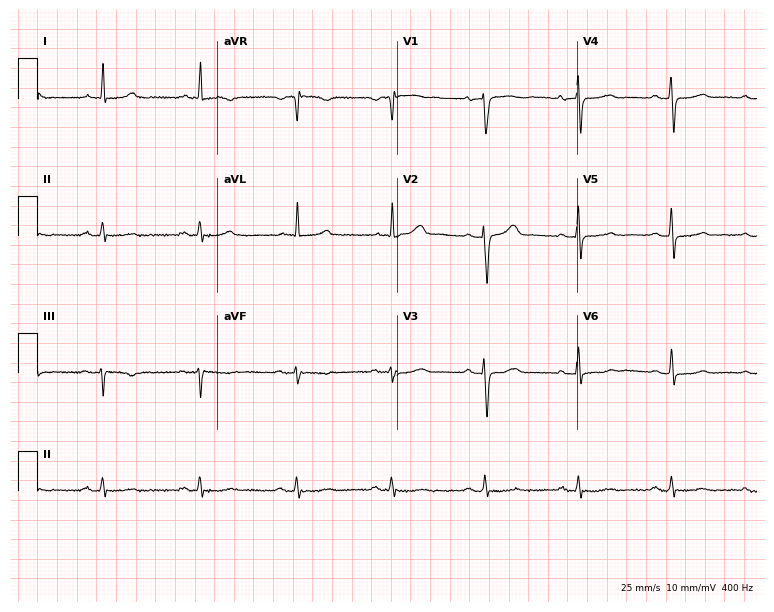
Standard 12-lead ECG recorded from a female, 72 years old (7.3-second recording at 400 Hz). None of these six findings is recorded: first-degree AV block, right bundle branch block, left bundle branch block, sinus bradycardia, atrial fibrillation, sinus tachycardia. Findings outside these six are not listed.